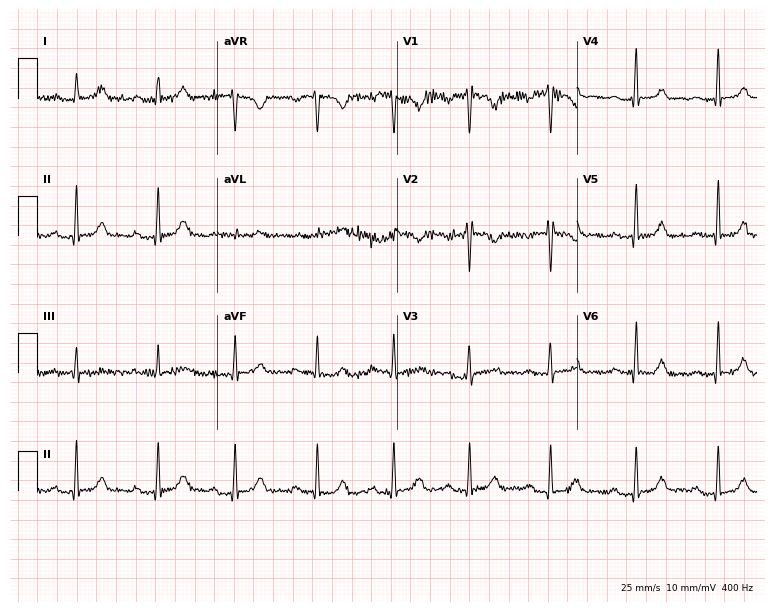
12-lead ECG (7.3-second recording at 400 Hz) from a male, 25 years old. Findings include first-degree AV block.